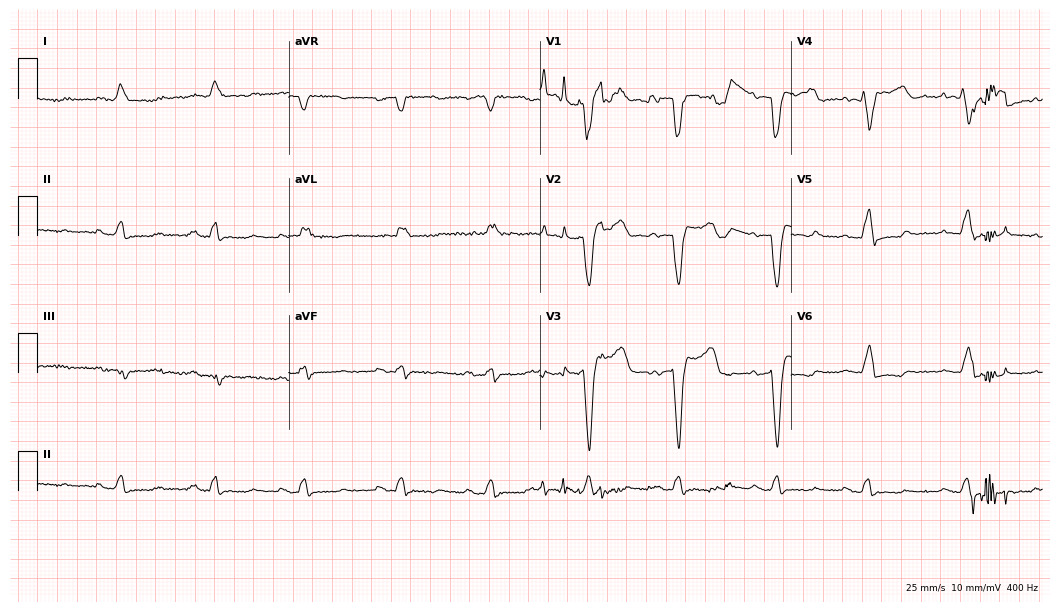
Resting 12-lead electrocardiogram (10.2-second recording at 400 Hz). Patient: an 80-year-old man. None of these six findings is recorded: first-degree AV block, right bundle branch block, left bundle branch block, sinus bradycardia, atrial fibrillation, sinus tachycardia. Only these six findings were labelled.